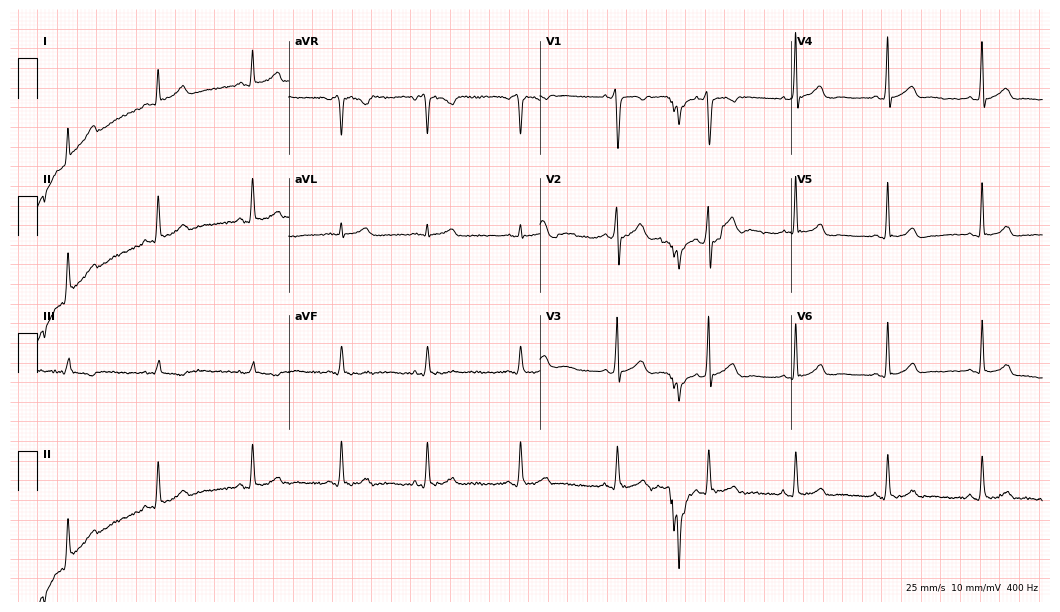
Electrocardiogram (10.2-second recording at 400 Hz), a man, 29 years old. Overall reading on record: normal ECG.